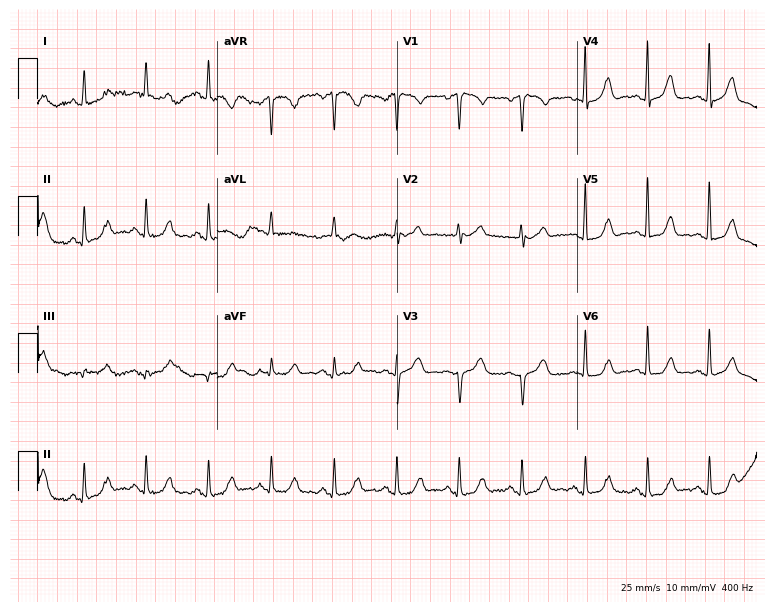
12-lead ECG from a female, 70 years old. Screened for six findings — first-degree AV block, right bundle branch block, left bundle branch block, sinus bradycardia, atrial fibrillation, sinus tachycardia — none is recorded.